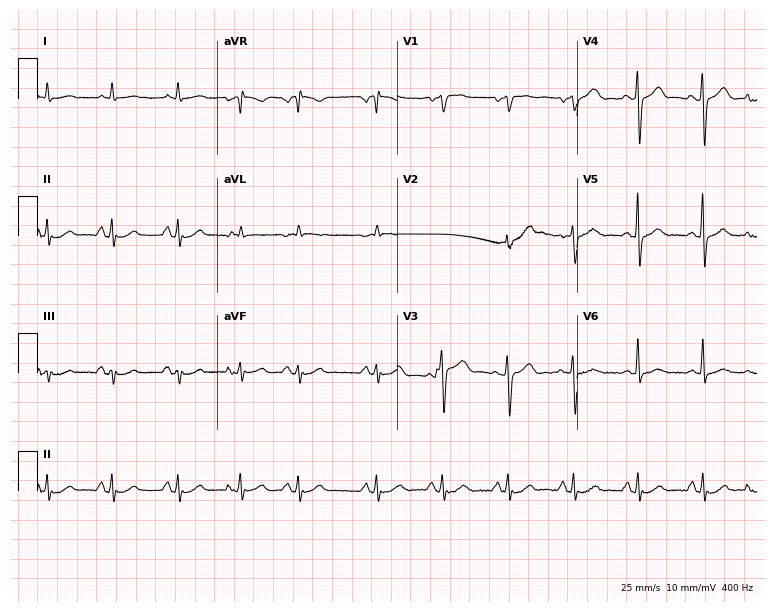
Electrocardiogram, an 84-year-old male. Of the six screened findings (first-degree AV block, right bundle branch block (RBBB), left bundle branch block (LBBB), sinus bradycardia, atrial fibrillation (AF), sinus tachycardia), none is recorded.